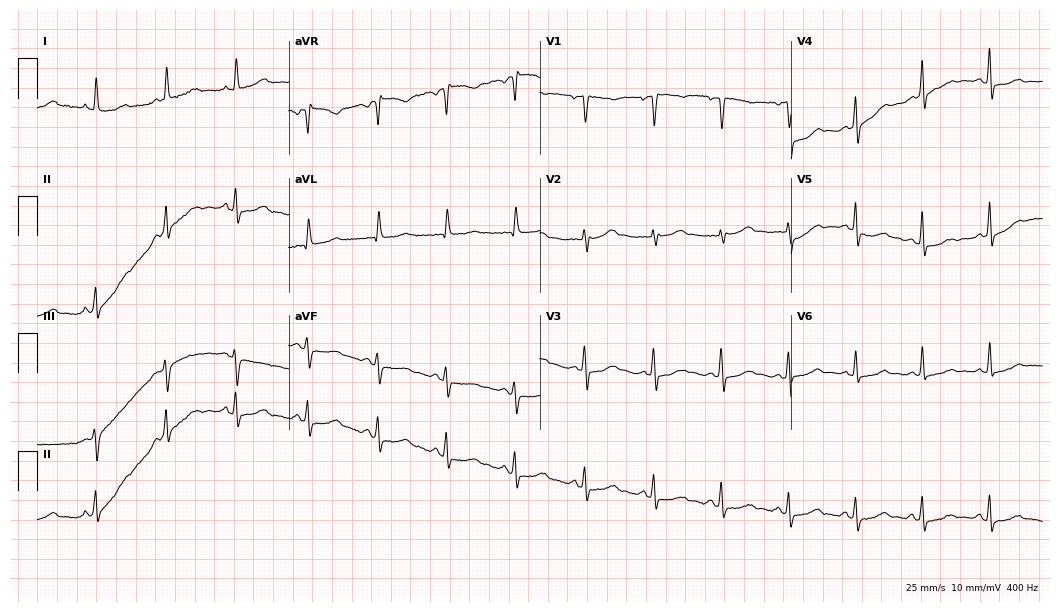
ECG (10.2-second recording at 400 Hz) — a 44-year-old woman. Screened for six findings — first-degree AV block, right bundle branch block (RBBB), left bundle branch block (LBBB), sinus bradycardia, atrial fibrillation (AF), sinus tachycardia — none is recorded.